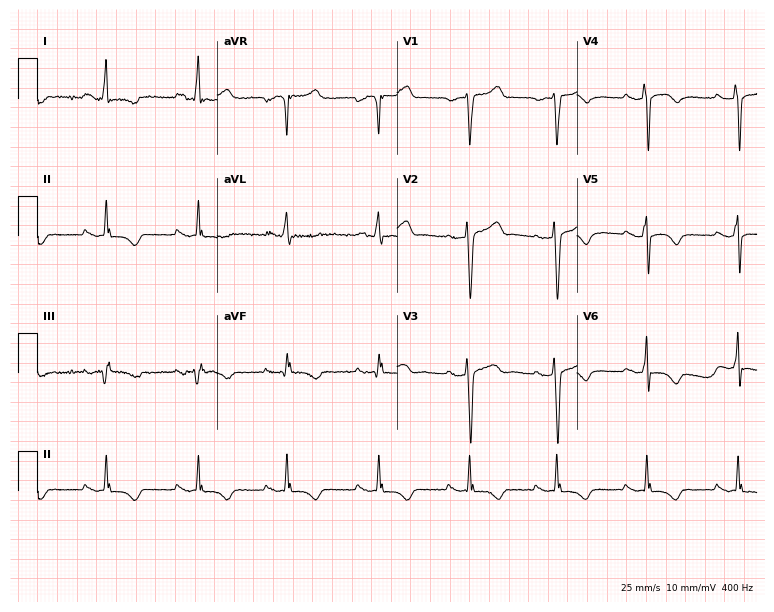
12-lead ECG from a woman, 48 years old. Screened for six findings — first-degree AV block, right bundle branch block, left bundle branch block, sinus bradycardia, atrial fibrillation, sinus tachycardia — none is recorded. Other findings, if any, are not listed.